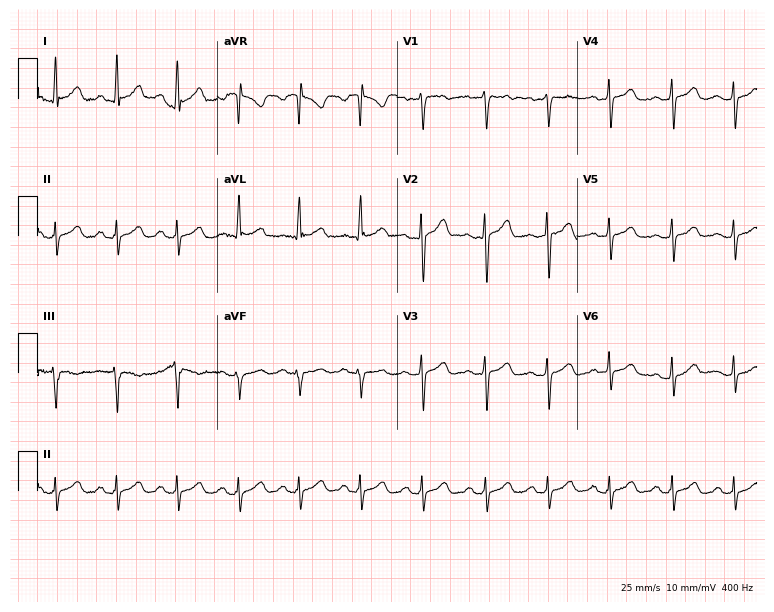
12-lead ECG from a 44-year-old male. Screened for six findings — first-degree AV block, right bundle branch block, left bundle branch block, sinus bradycardia, atrial fibrillation, sinus tachycardia — none is recorded.